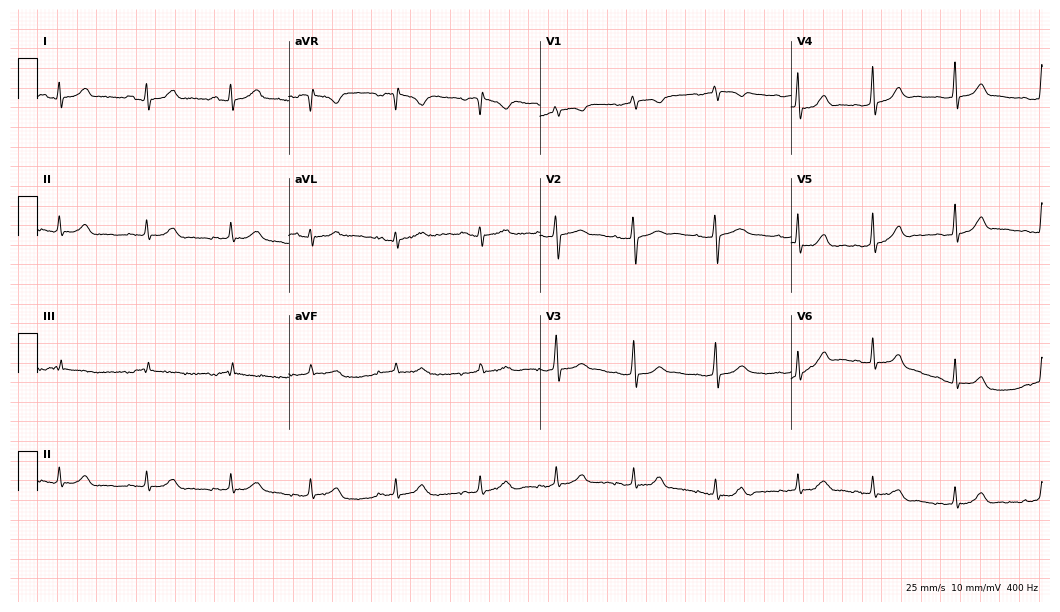
12-lead ECG from a 34-year-old female. Recorded interpretation: within normal limits.